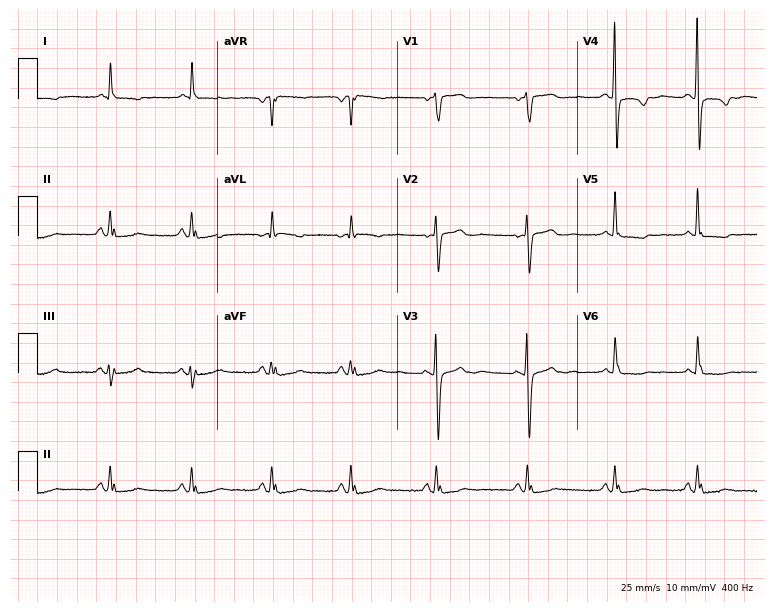
Standard 12-lead ECG recorded from a 60-year-old woman (7.3-second recording at 400 Hz). None of these six findings is recorded: first-degree AV block, right bundle branch block, left bundle branch block, sinus bradycardia, atrial fibrillation, sinus tachycardia. Only these six findings were labelled.